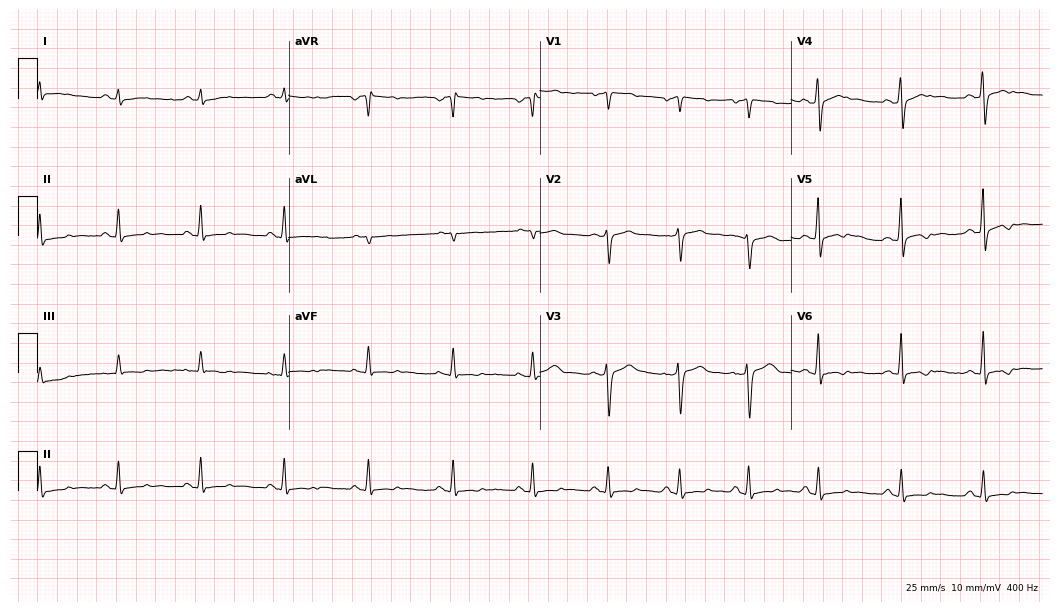
Standard 12-lead ECG recorded from a man, 39 years old (10.2-second recording at 400 Hz). None of these six findings is recorded: first-degree AV block, right bundle branch block (RBBB), left bundle branch block (LBBB), sinus bradycardia, atrial fibrillation (AF), sinus tachycardia.